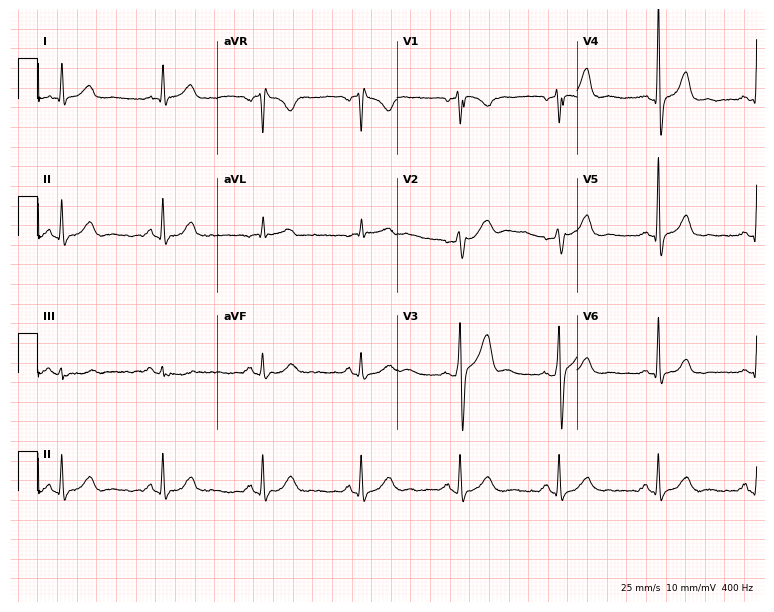
Resting 12-lead electrocardiogram. Patient: a 61-year-old male. None of these six findings is recorded: first-degree AV block, right bundle branch block, left bundle branch block, sinus bradycardia, atrial fibrillation, sinus tachycardia. Other findings, if any, are not listed.